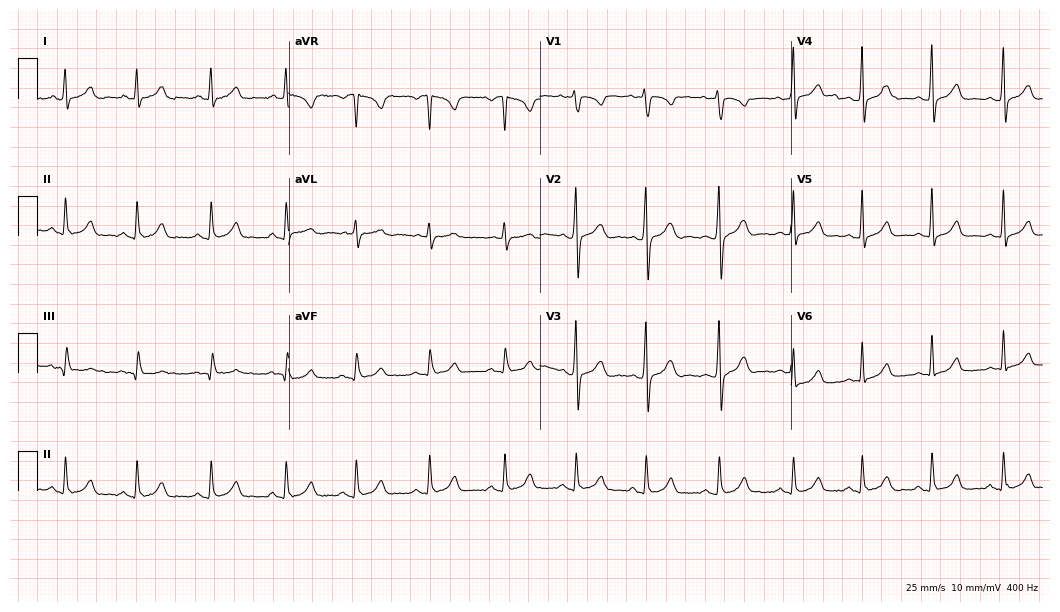
Electrocardiogram, a 20-year-old female. Of the six screened findings (first-degree AV block, right bundle branch block (RBBB), left bundle branch block (LBBB), sinus bradycardia, atrial fibrillation (AF), sinus tachycardia), none is recorded. Findings outside these six are not listed.